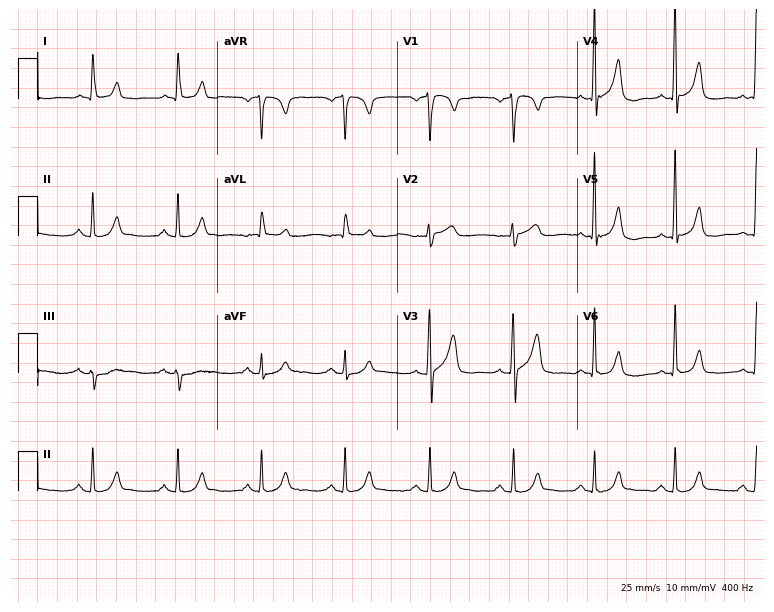
Resting 12-lead electrocardiogram. Patient: a 64-year-old male. Read as a normal ECG.